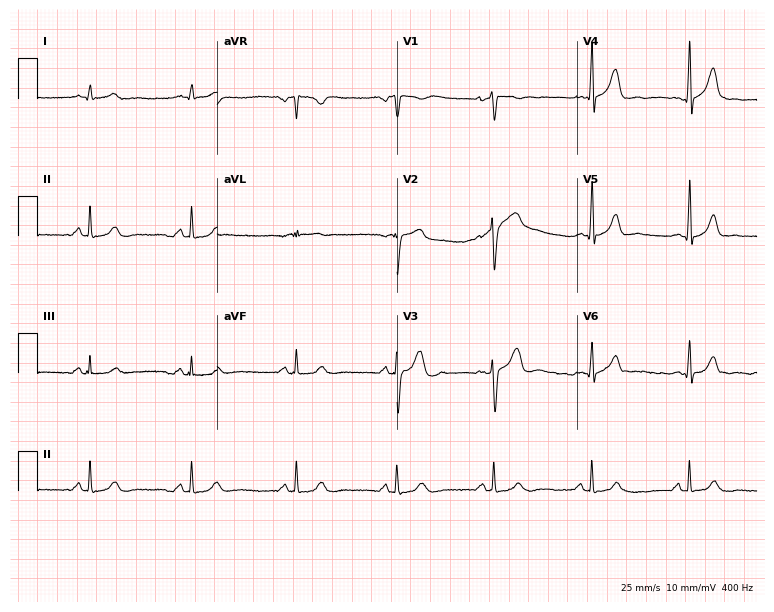
ECG — a 35-year-old male patient. Screened for six findings — first-degree AV block, right bundle branch block, left bundle branch block, sinus bradycardia, atrial fibrillation, sinus tachycardia — none is recorded. Findings outside these six are not listed.